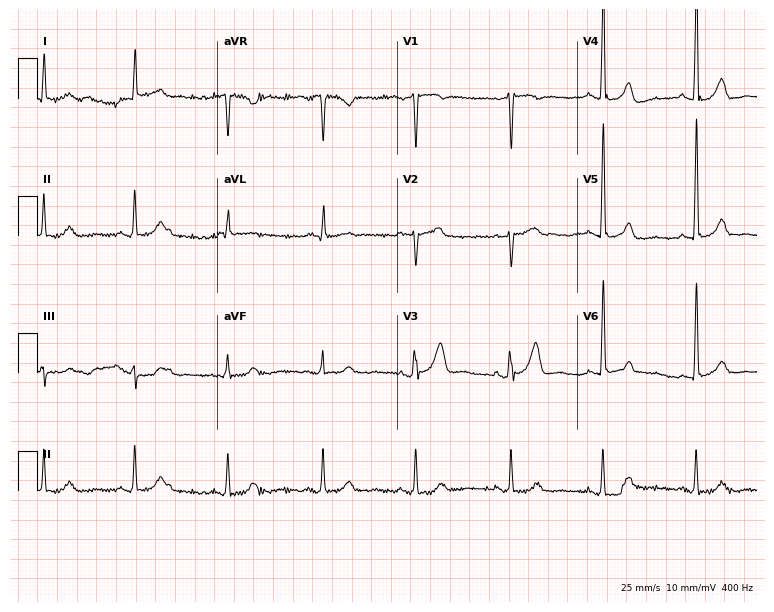
Electrocardiogram (7.3-second recording at 400 Hz), a 43-year-old male. Overall reading on record: normal ECG.